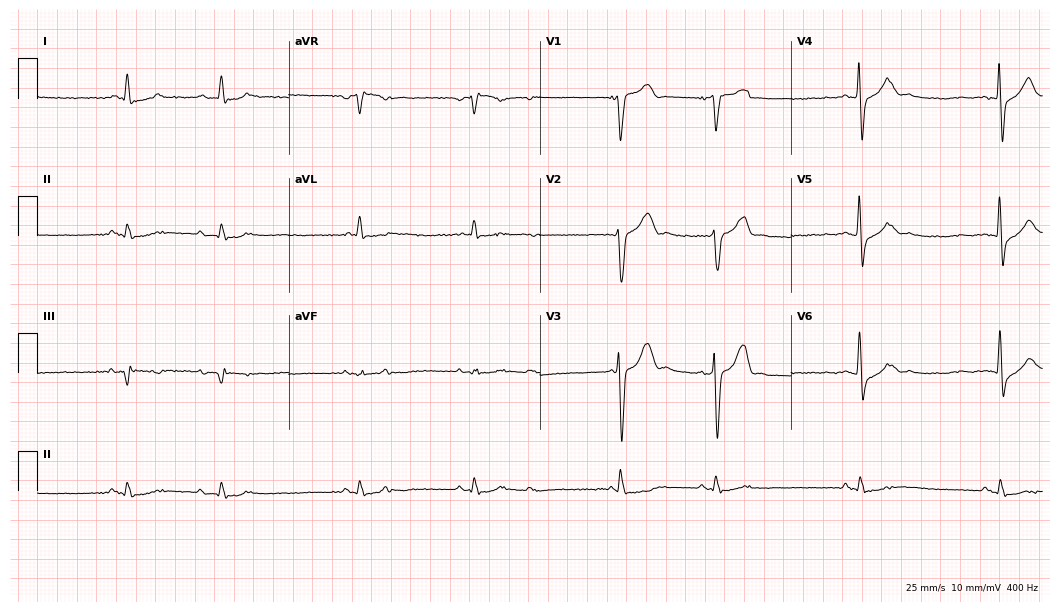
Resting 12-lead electrocardiogram. Patient: a 75-year-old male. None of these six findings is recorded: first-degree AV block, right bundle branch block (RBBB), left bundle branch block (LBBB), sinus bradycardia, atrial fibrillation (AF), sinus tachycardia.